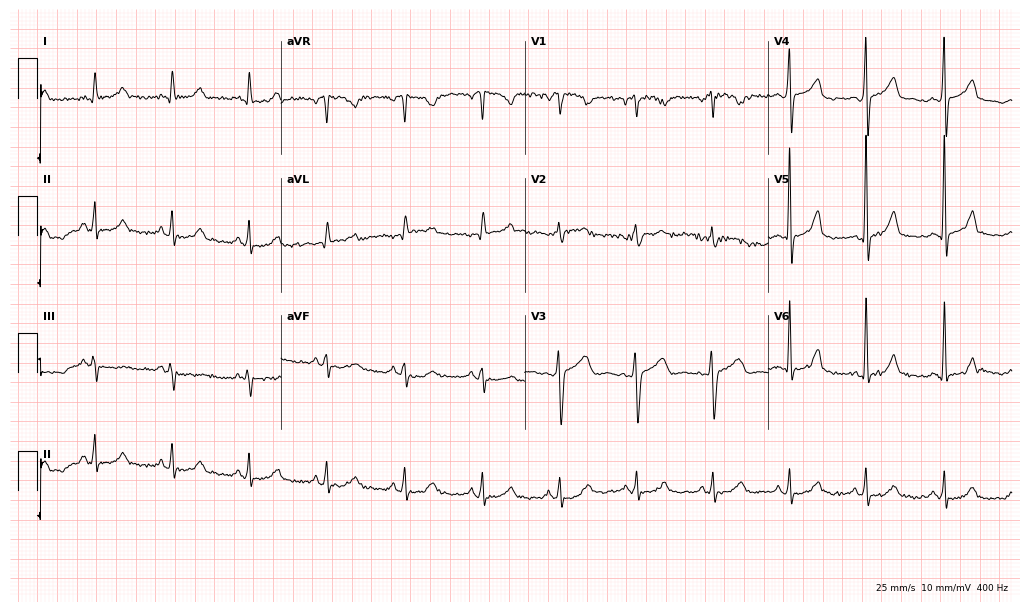
12-lead ECG from a female, 55 years old. Recorded interpretation: within normal limits.